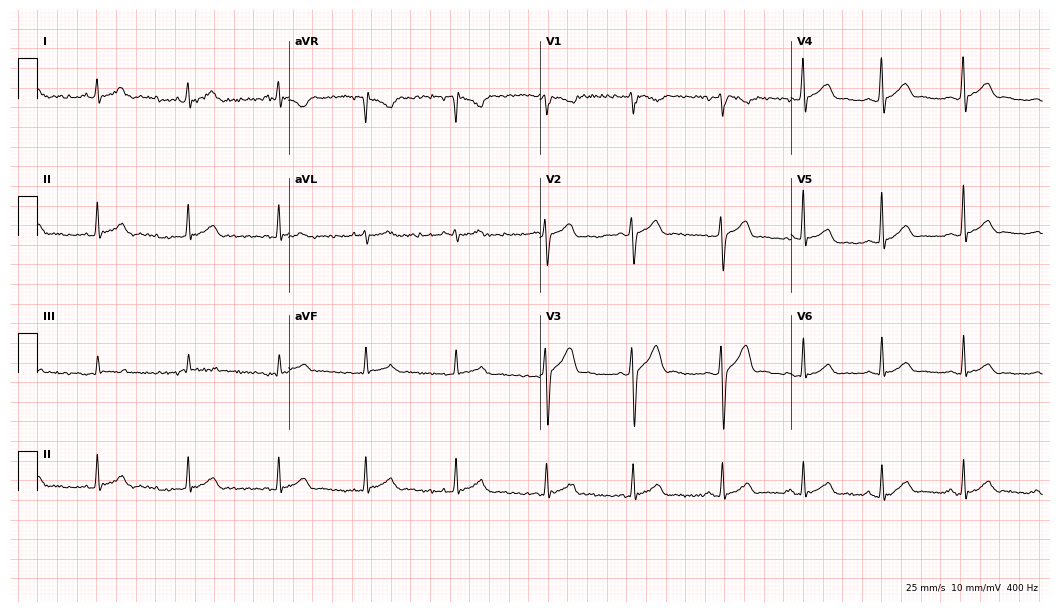
Standard 12-lead ECG recorded from a male, 28 years old. Read as a normal ECG.